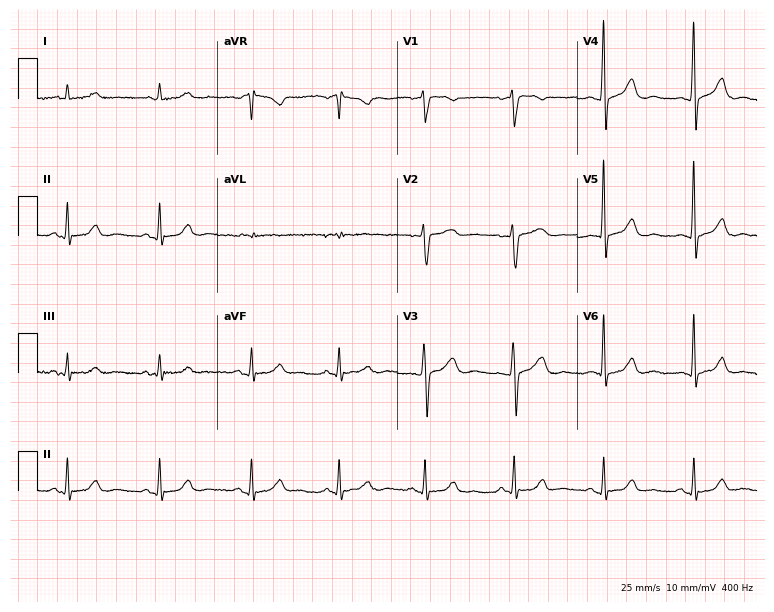
Electrocardiogram, a man, 47 years old. Overall reading on record: normal ECG.